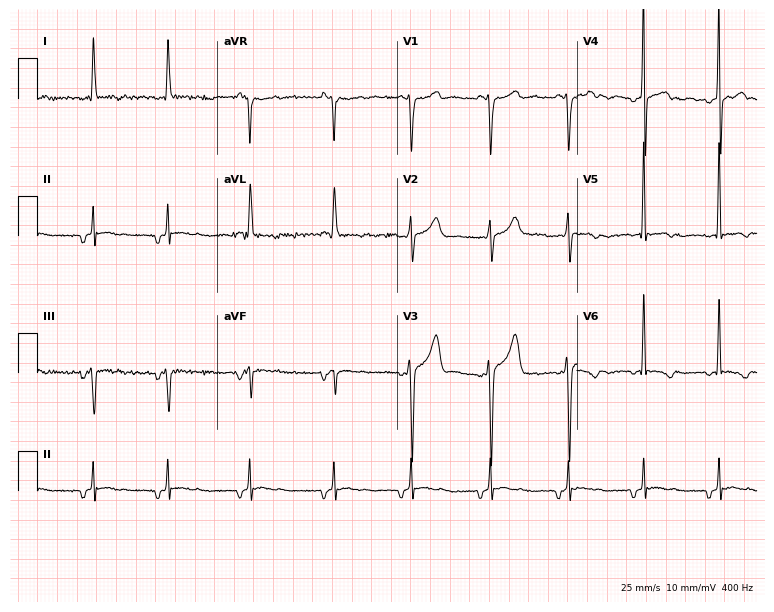
ECG — a 52-year-old male patient. Screened for six findings — first-degree AV block, right bundle branch block, left bundle branch block, sinus bradycardia, atrial fibrillation, sinus tachycardia — none is recorded.